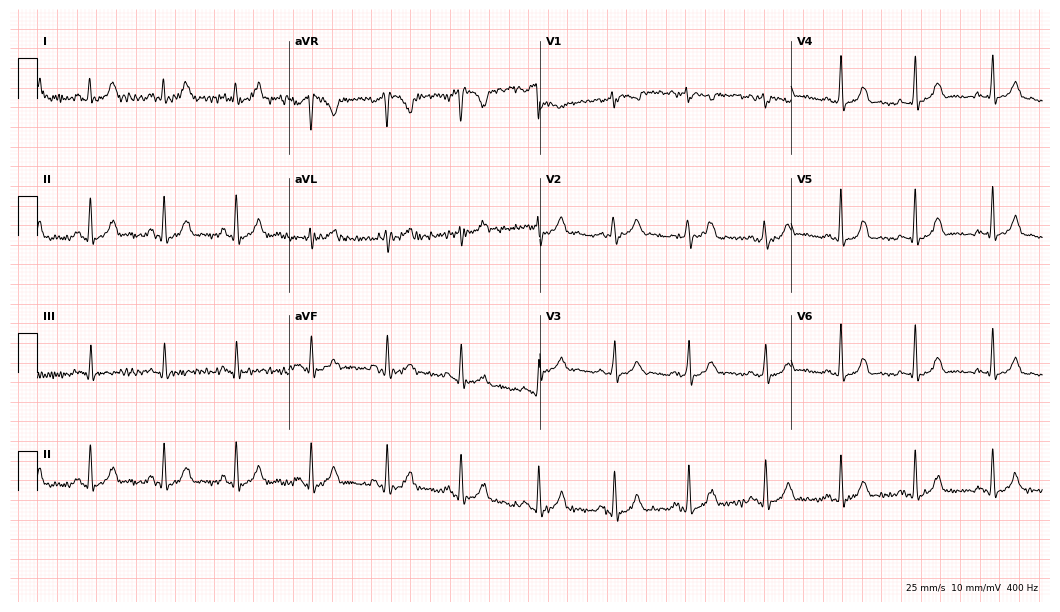
Standard 12-lead ECG recorded from a female patient, 34 years old (10.2-second recording at 400 Hz). Read as a normal ECG.